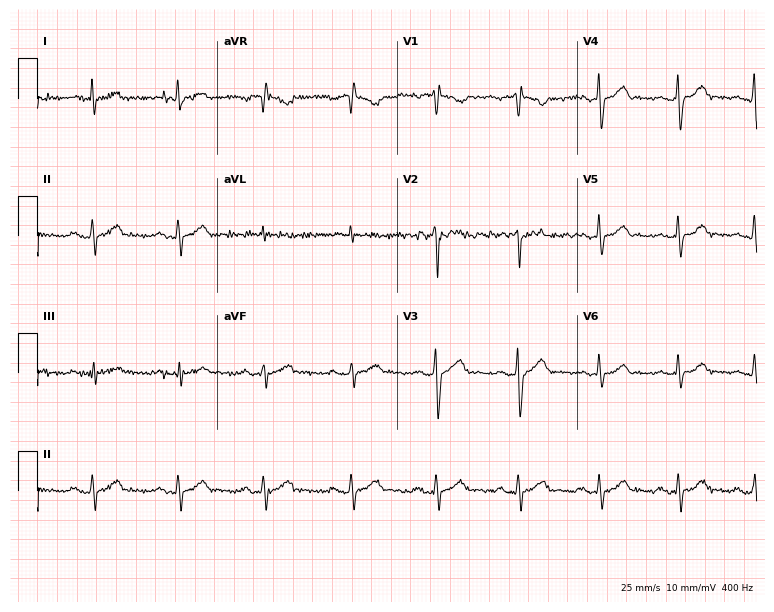
12-lead ECG from a 41-year-old man. No first-degree AV block, right bundle branch block (RBBB), left bundle branch block (LBBB), sinus bradycardia, atrial fibrillation (AF) or sinus tachycardia recorded for this tracing.